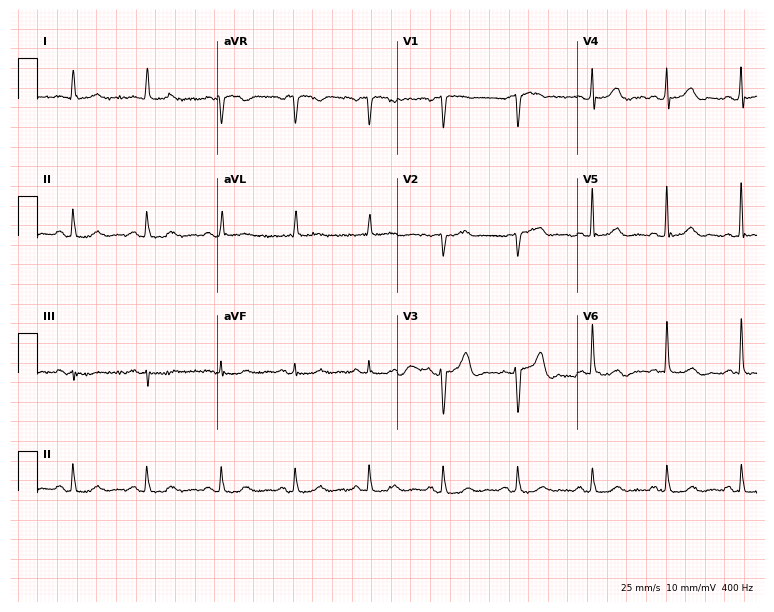
Standard 12-lead ECG recorded from a 72-year-old male patient (7.3-second recording at 400 Hz). Read as a normal ECG.